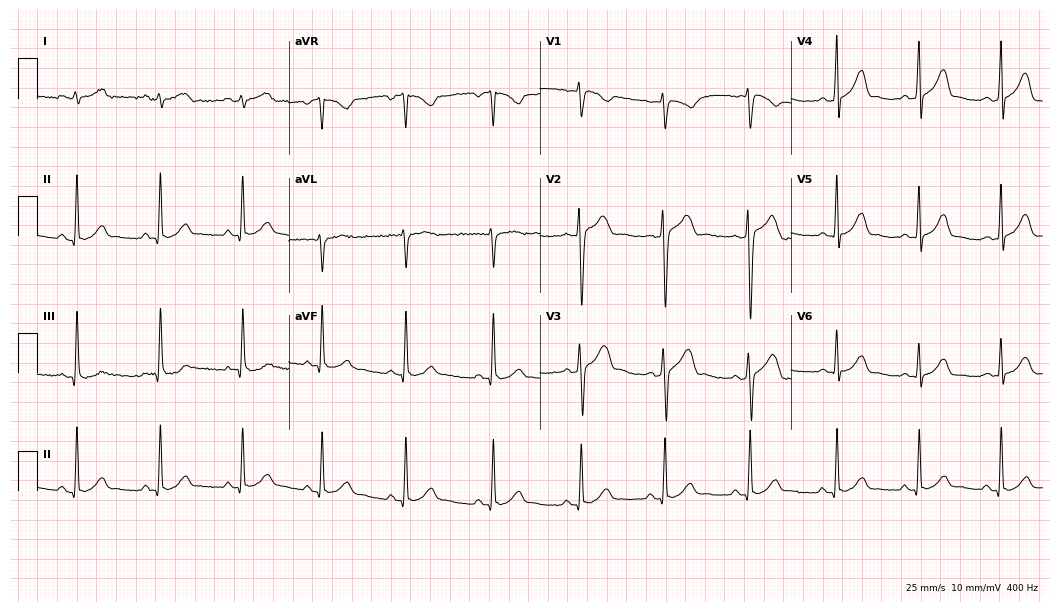
12-lead ECG from a 32-year-old man. Labelled as a normal ECG.